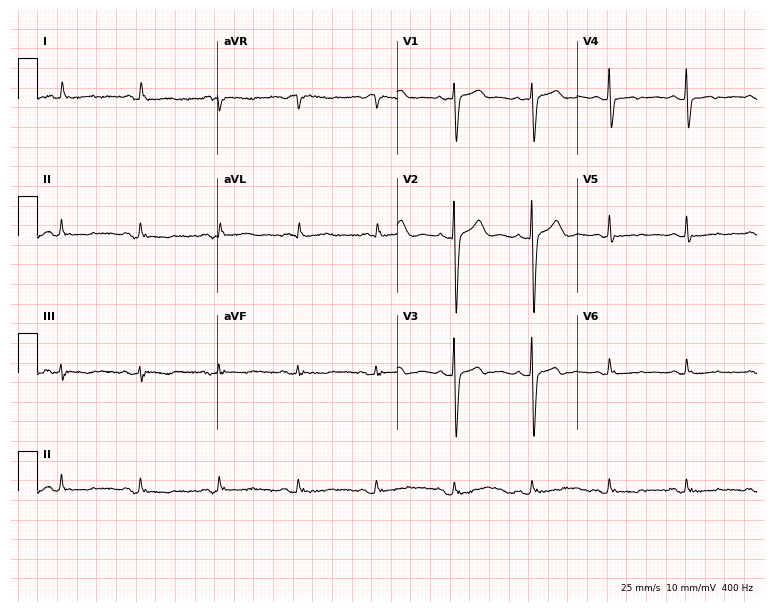
Electrocardiogram (7.3-second recording at 400 Hz), an 80-year-old female. Of the six screened findings (first-degree AV block, right bundle branch block, left bundle branch block, sinus bradycardia, atrial fibrillation, sinus tachycardia), none is recorded. Other findings, if any, are not listed.